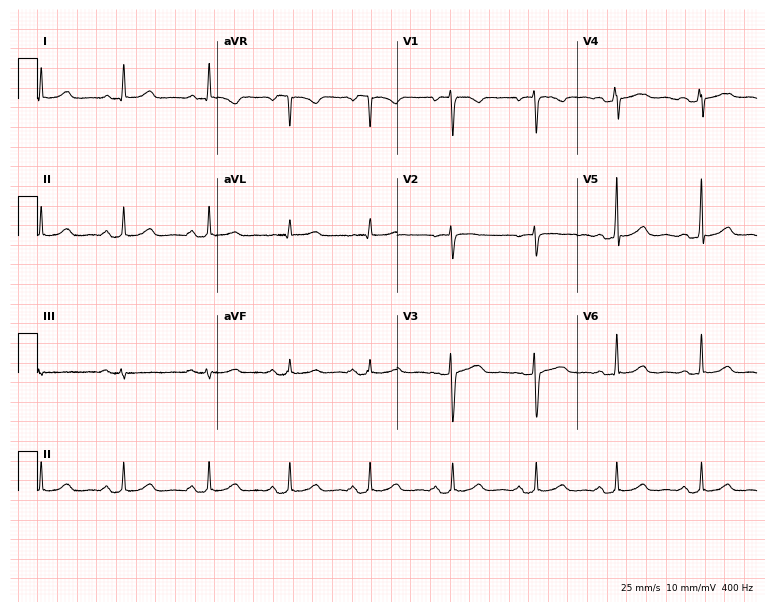
Electrocardiogram, a female patient, 36 years old. Of the six screened findings (first-degree AV block, right bundle branch block (RBBB), left bundle branch block (LBBB), sinus bradycardia, atrial fibrillation (AF), sinus tachycardia), none is recorded.